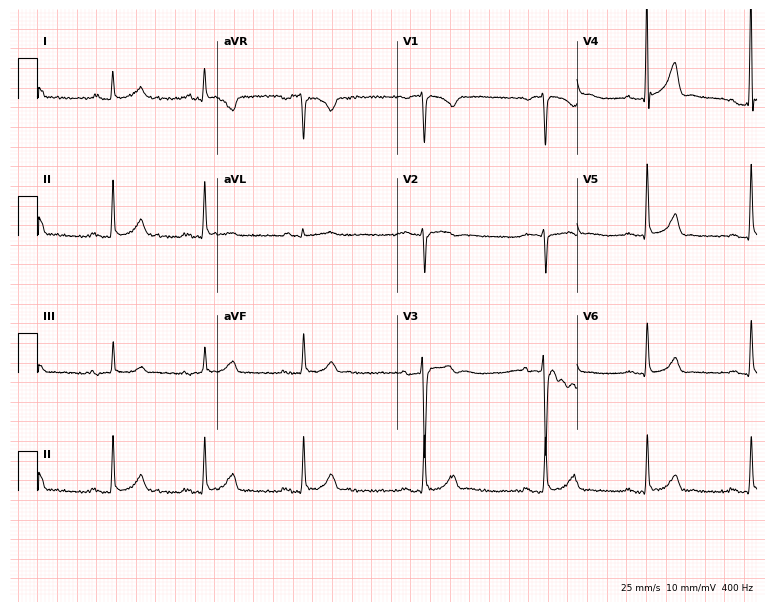
Standard 12-lead ECG recorded from a 65-year-old male (7.3-second recording at 400 Hz). Read as a normal ECG.